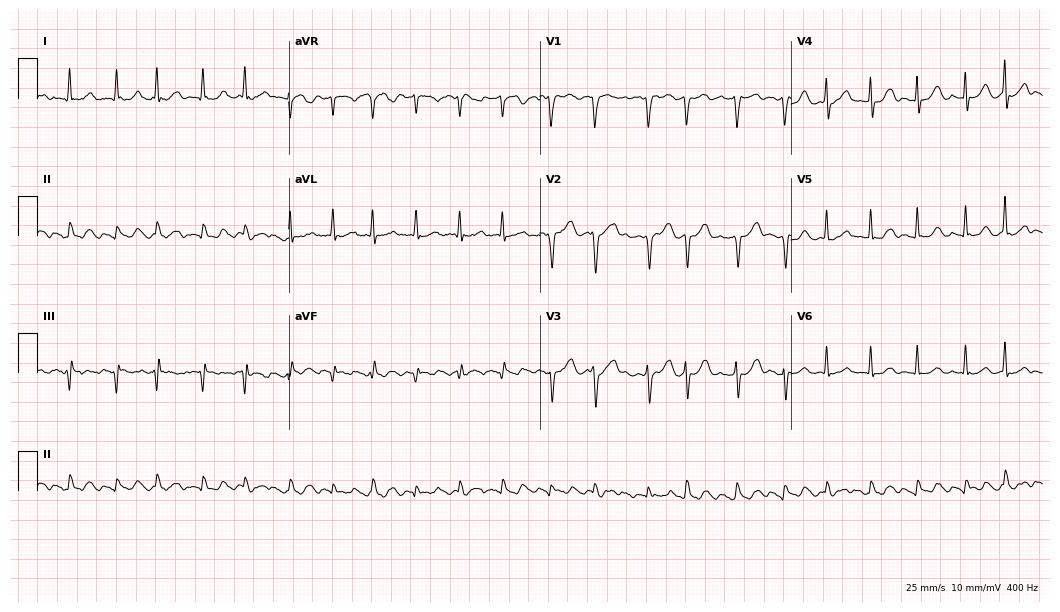
Standard 12-lead ECG recorded from a 67-year-old woman. The tracing shows atrial fibrillation.